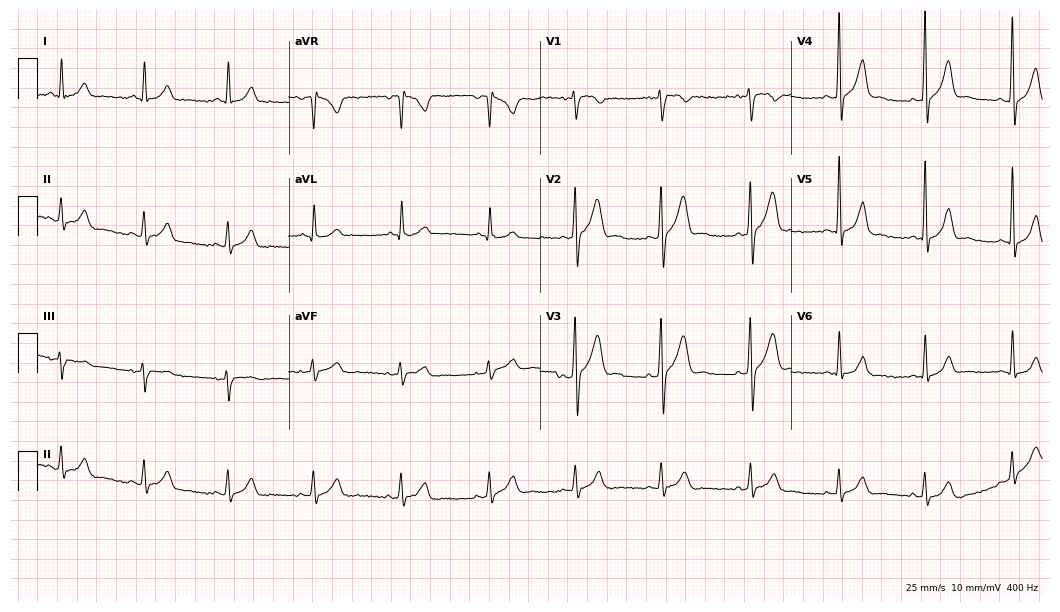
ECG (10.2-second recording at 400 Hz) — a male, 40 years old. Labelled as a normal ECG.